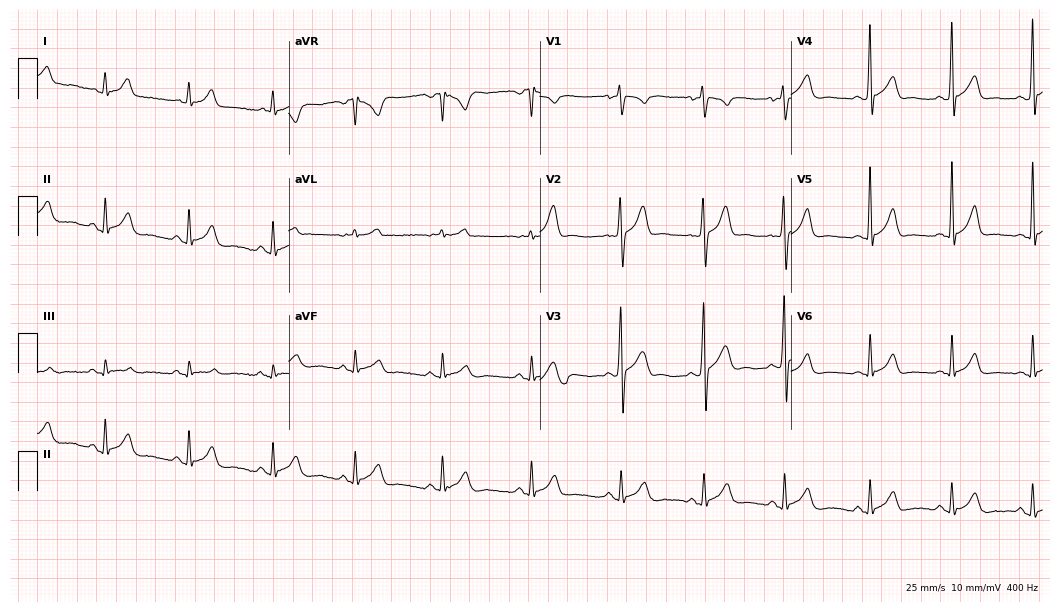
ECG (10.2-second recording at 400 Hz) — a man, 19 years old. Labelled as a normal ECG.